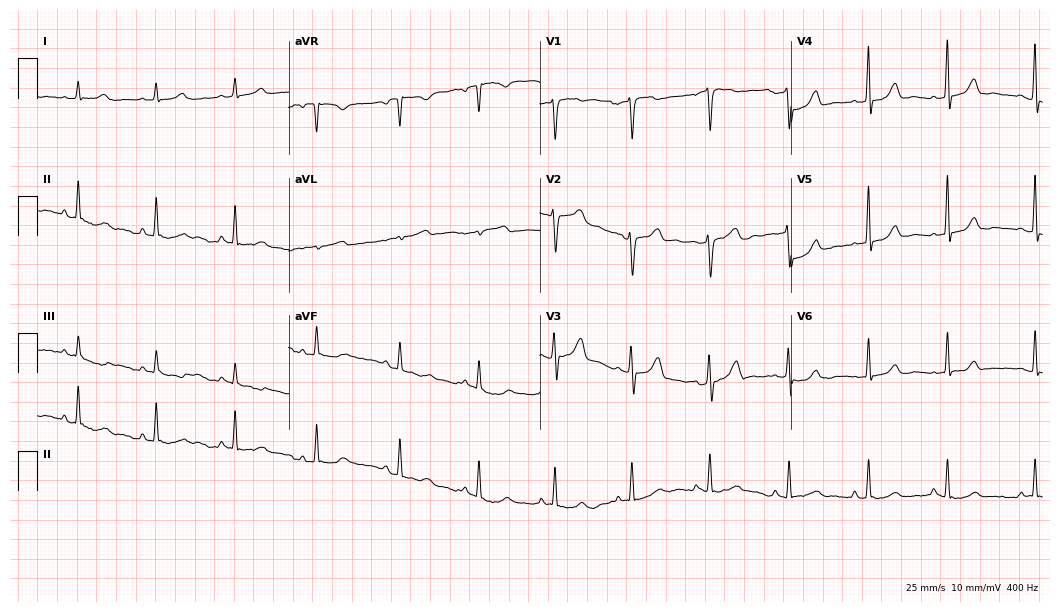
Resting 12-lead electrocardiogram (10.2-second recording at 400 Hz). Patient: a 40-year-old woman. Read as a normal ECG.